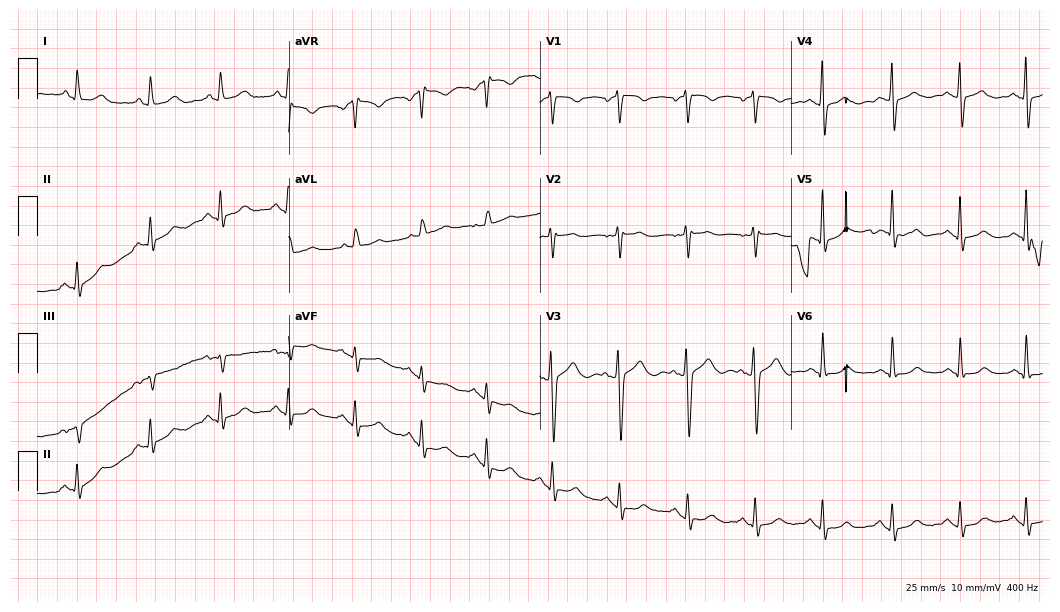
ECG (10.2-second recording at 400 Hz) — a woman, 42 years old. Labelled as a normal ECG.